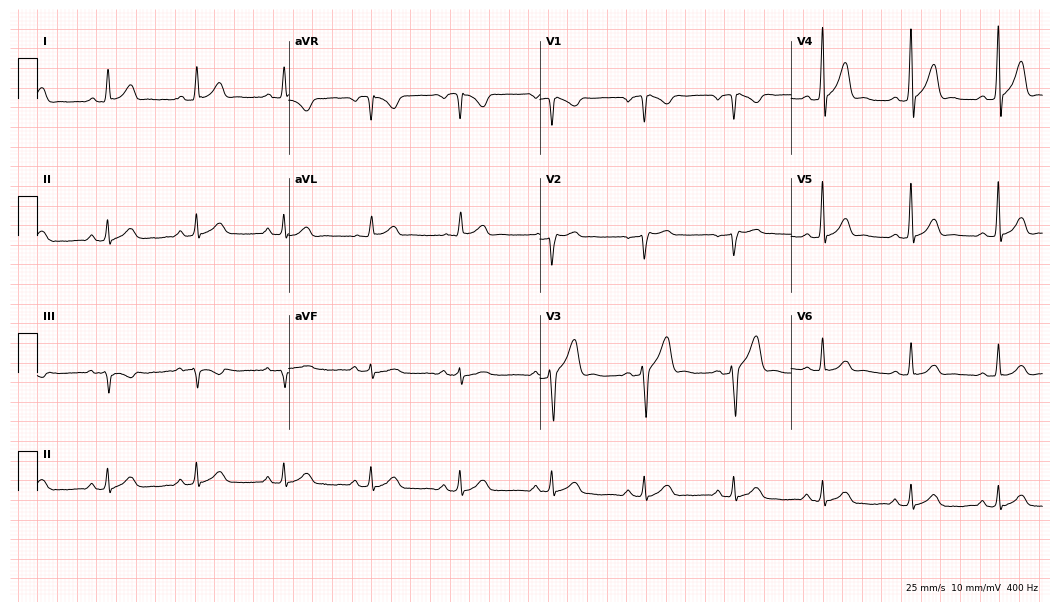
Resting 12-lead electrocardiogram (10.2-second recording at 400 Hz). Patient: a male, 32 years old. None of these six findings is recorded: first-degree AV block, right bundle branch block, left bundle branch block, sinus bradycardia, atrial fibrillation, sinus tachycardia. Only these six findings were labelled.